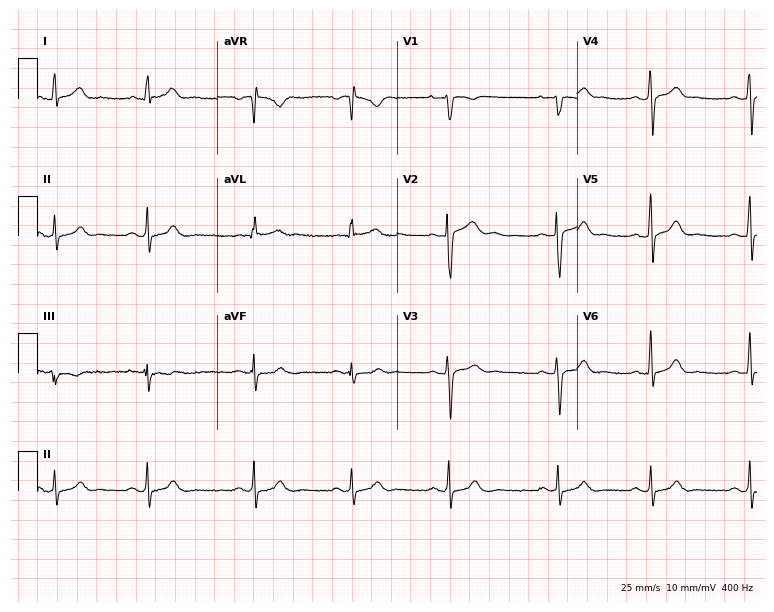
Resting 12-lead electrocardiogram (7.3-second recording at 400 Hz). Patient: a 32-year-old male. Read as a normal ECG.